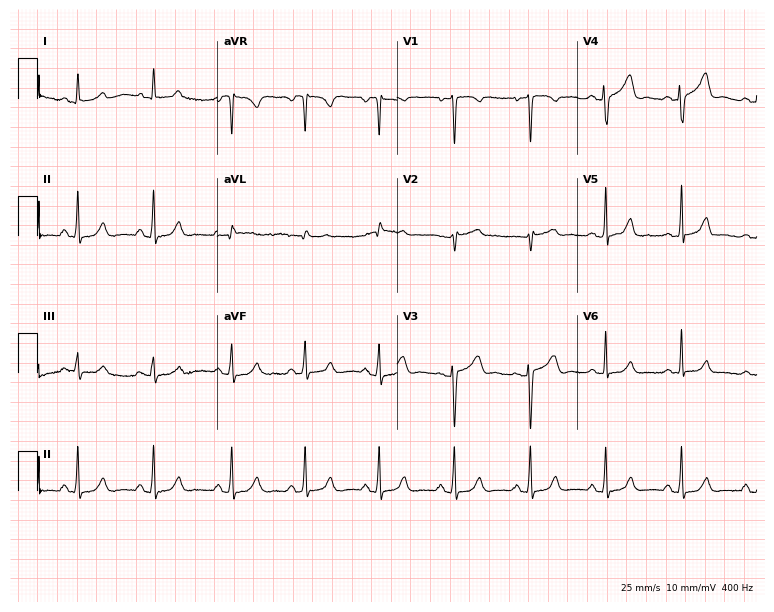
12-lead ECG from a female, 33 years old. No first-degree AV block, right bundle branch block, left bundle branch block, sinus bradycardia, atrial fibrillation or sinus tachycardia recorded for this tracing. Findings outside these six are not listed.